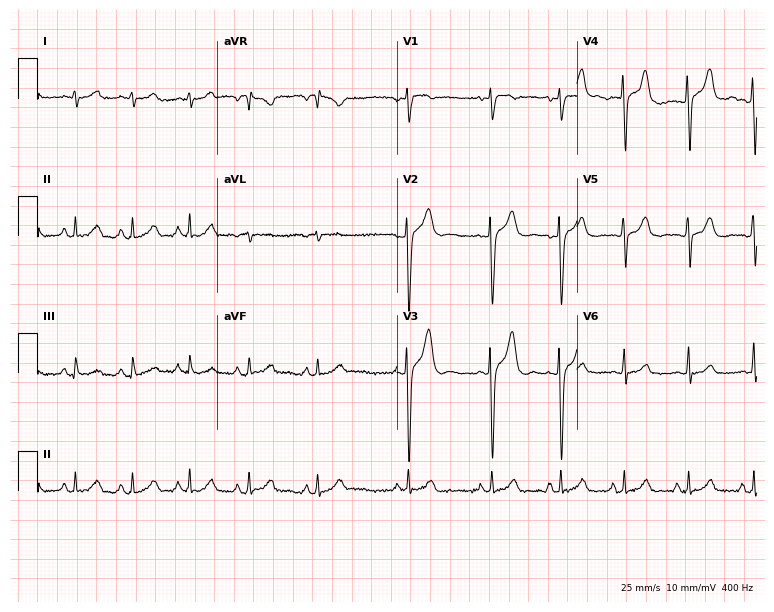
ECG — a male patient, 31 years old. Labelled as a normal ECG.